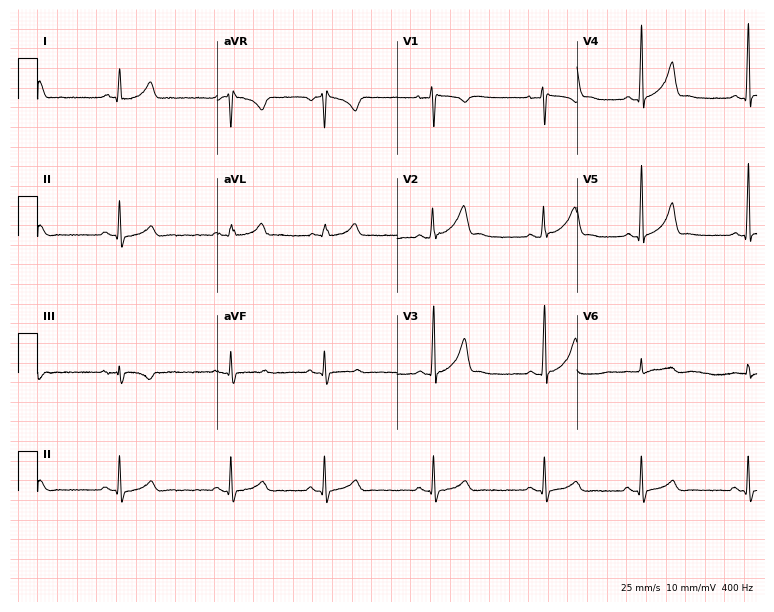
12-lead ECG from a 21-year-old man. Screened for six findings — first-degree AV block, right bundle branch block (RBBB), left bundle branch block (LBBB), sinus bradycardia, atrial fibrillation (AF), sinus tachycardia — none is recorded. Only these six findings were labelled.